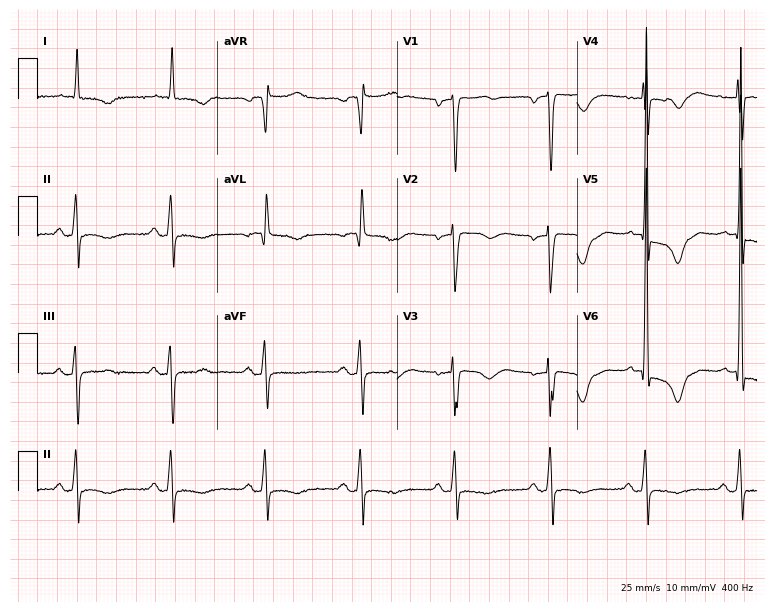
Standard 12-lead ECG recorded from a woman, 66 years old (7.3-second recording at 400 Hz). None of these six findings is recorded: first-degree AV block, right bundle branch block, left bundle branch block, sinus bradycardia, atrial fibrillation, sinus tachycardia. Other findings, if any, are not listed.